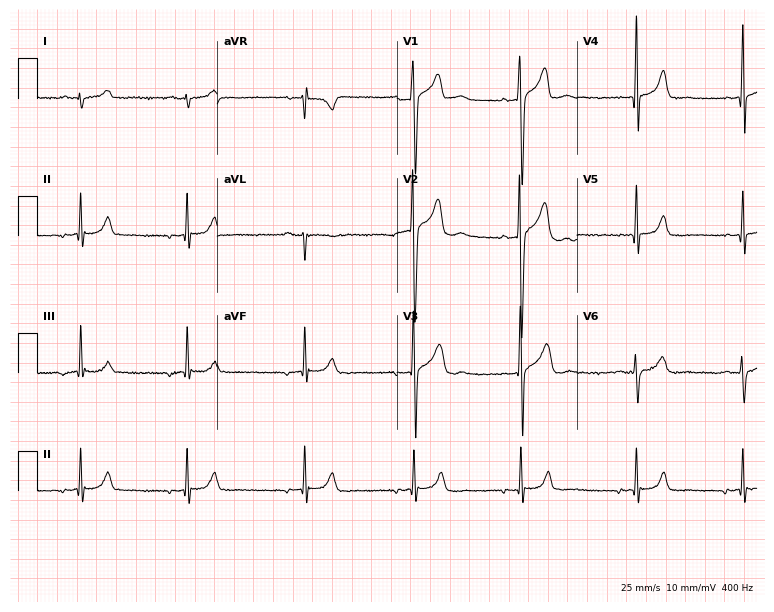
12-lead ECG from a 19-year-old male patient. Screened for six findings — first-degree AV block, right bundle branch block, left bundle branch block, sinus bradycardia, atrial fibrillation, sinus tachycardia — none is recorded.